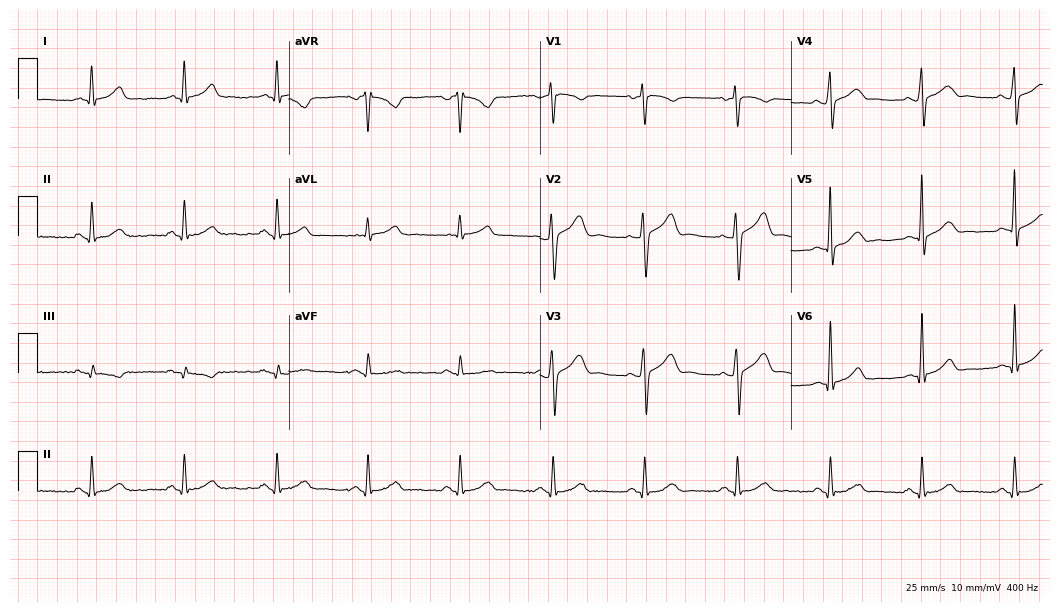
Electrocardiogram, a 49-year-old male. Overall reading on record: normal ECG.